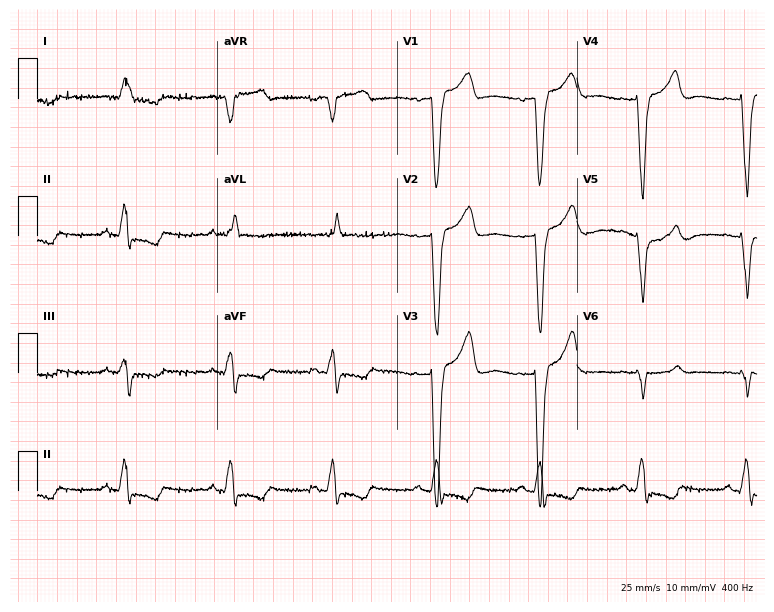
Standard 12-lead ECG recorded from a man, 77 years old (7.3-second recording at 400 Hz). None of these six findings is recorded: first-degree AV block, right bundle branch block (RBBB), left bundle branch block (LBBB), sinus bradycardia, atrial fibrillation (AF), sinus tachycardia.